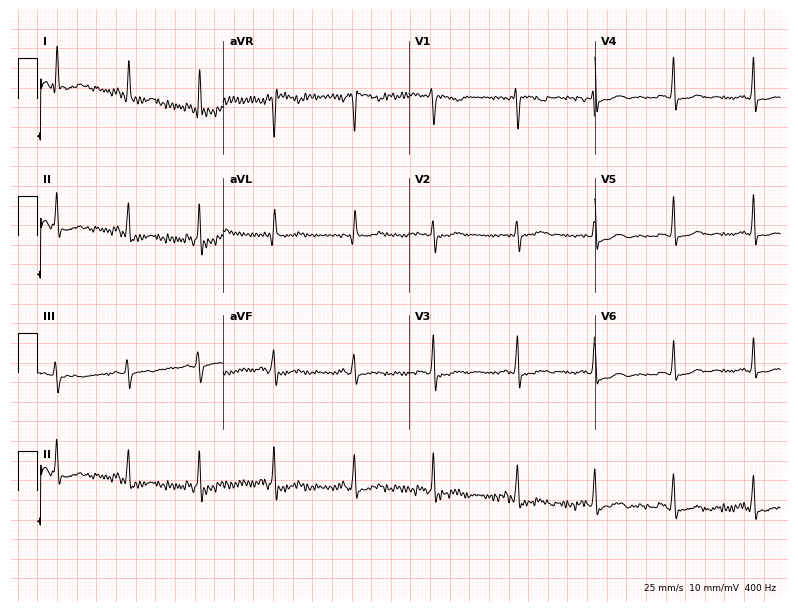
Standard 12-lead ECG recorded from a woman, 63 years old. None of these six findings is recorded: first-degree AV block, right bundle branch block, left bundle branch block, sinus bradycardia, atrial fibrillation, sinus tachycardia.